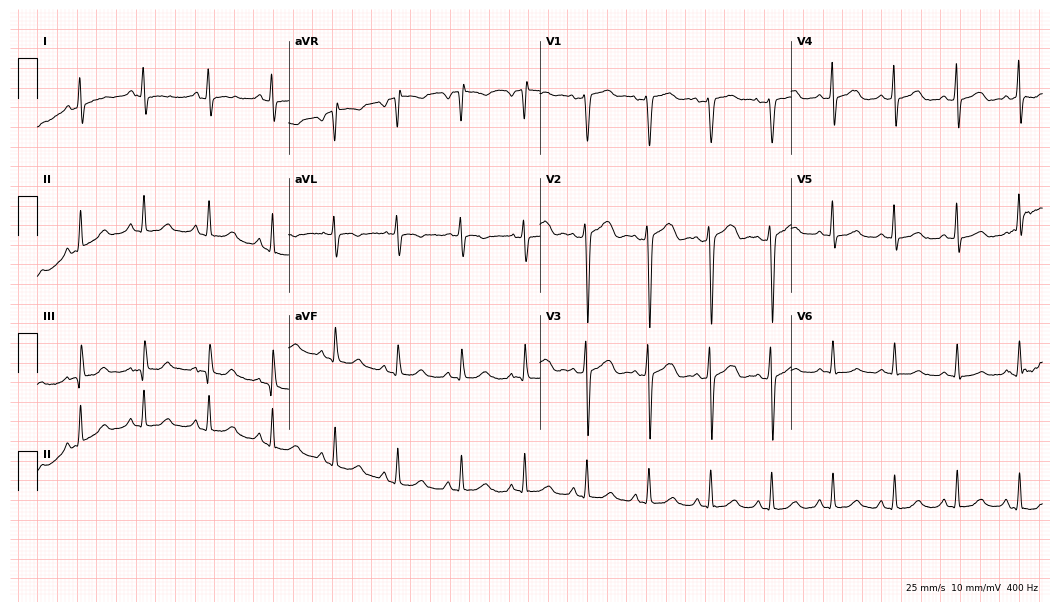
12-lead ECG (10.2-second recording at 400 Hz) from a woman, 46 years old. Screened for six findings — first-degree AV block, right bundle branch block, left bundle branch block, sinus bradycardia, atrial fibrillation, sinus tachycardia — none is recorded. Findings outside these six are not listed.